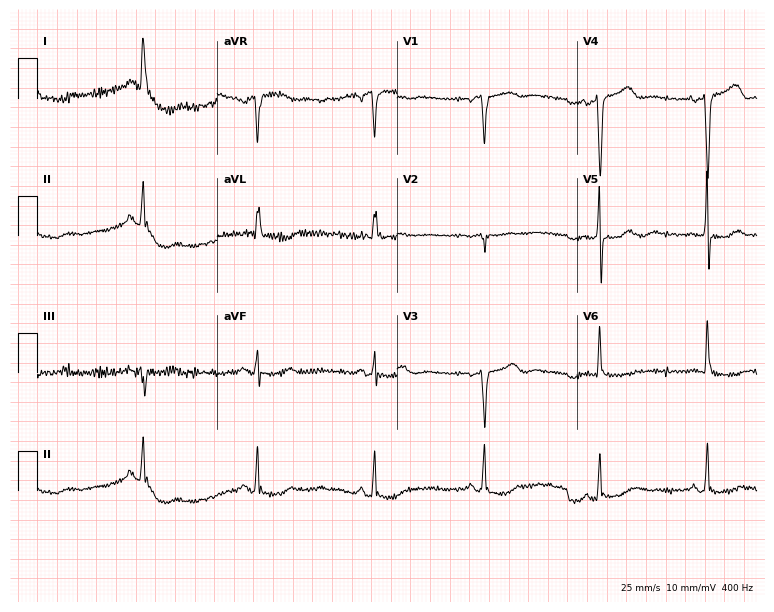
ECG — a female, 67 years old. Screened for six findings — first-degree AV block, right bundle branch block, left bundle branch block, sinus bradycardia, atrial fibrillation, sinus tachycardia — none is recorded.